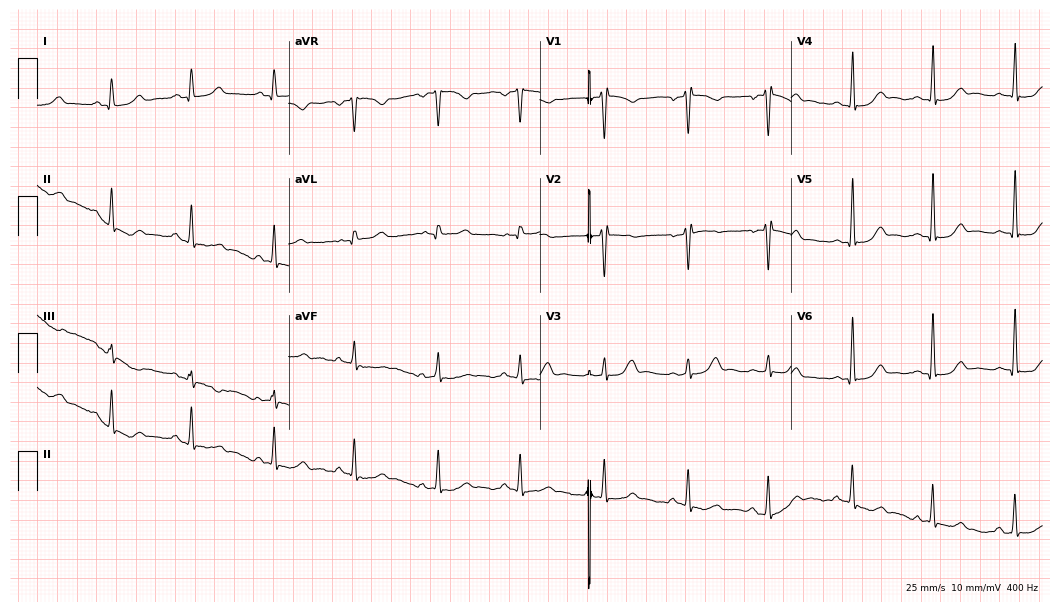
Resting 12-lead electrocardiogram (10.2-second recording at 400 Hz). Patient: a 28-year-old woman. Read as a normal ECG.